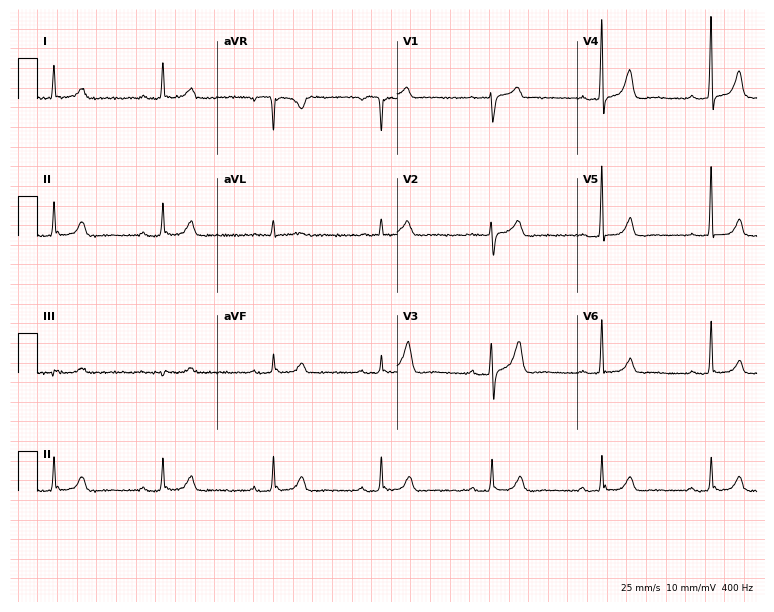
12-lead ECG from an 80-year-old male (7.3-second recording at 400 Hz). Recorded interpretation: within normal limits.